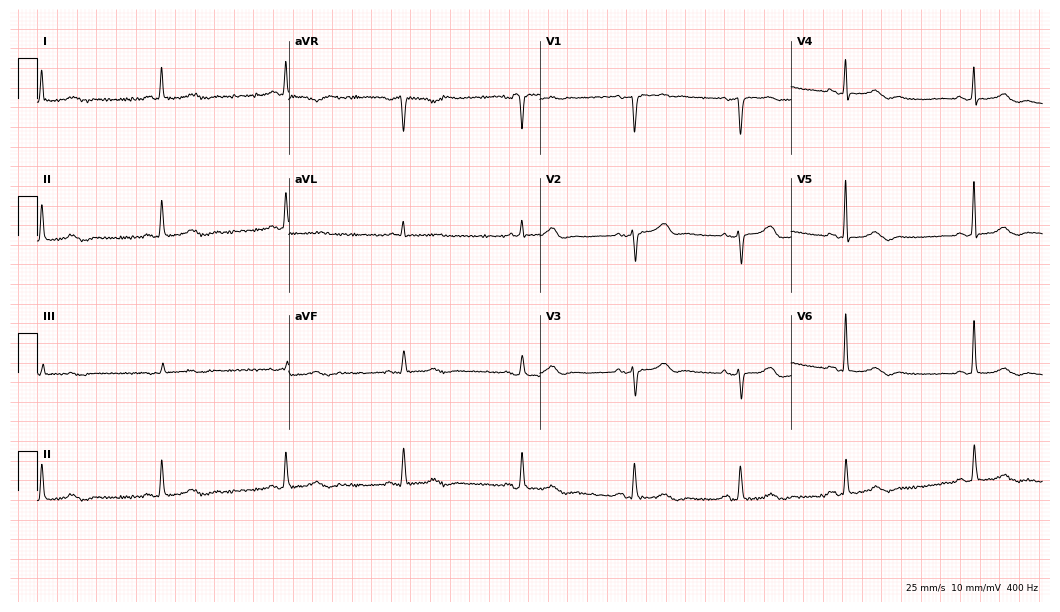
Resting 12-lead electrocardiogram (10.2-second recording at 400 Hz). Patient: a female, 81 years old. None of these six findings is recorded: first-degree AV block, right bundle branch block, left bundle branch block, sinus bradycardia, atrial fibrillation, sinus tachycardia. Only these six findings were labelled.